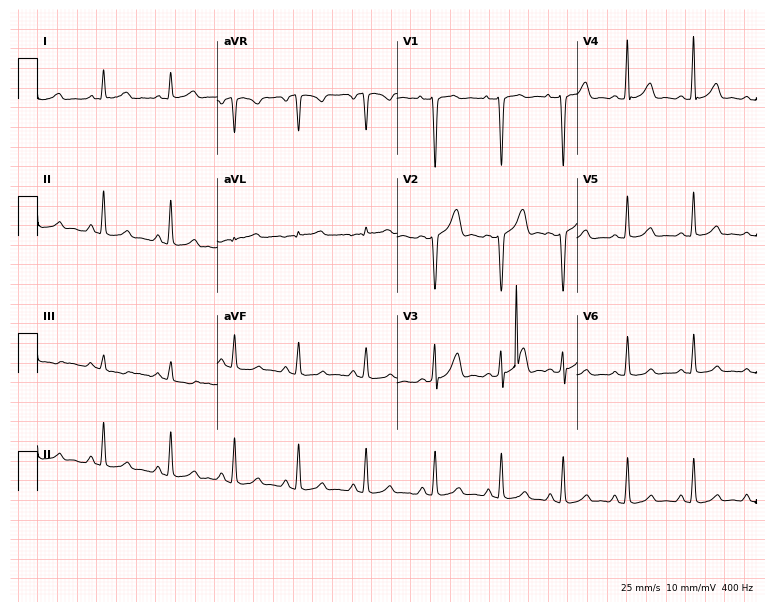
Standard 12-lead ECG recorded from a 32-year-old woman (7.3-second recording at 400 Hz). None of these six findings is recorded: first-degree AV block, right bundle branch block (RBBB), left bundle branch block (LBBB), sinus bradycardia, atrial fibrillation (AF), sinus tachycardia.